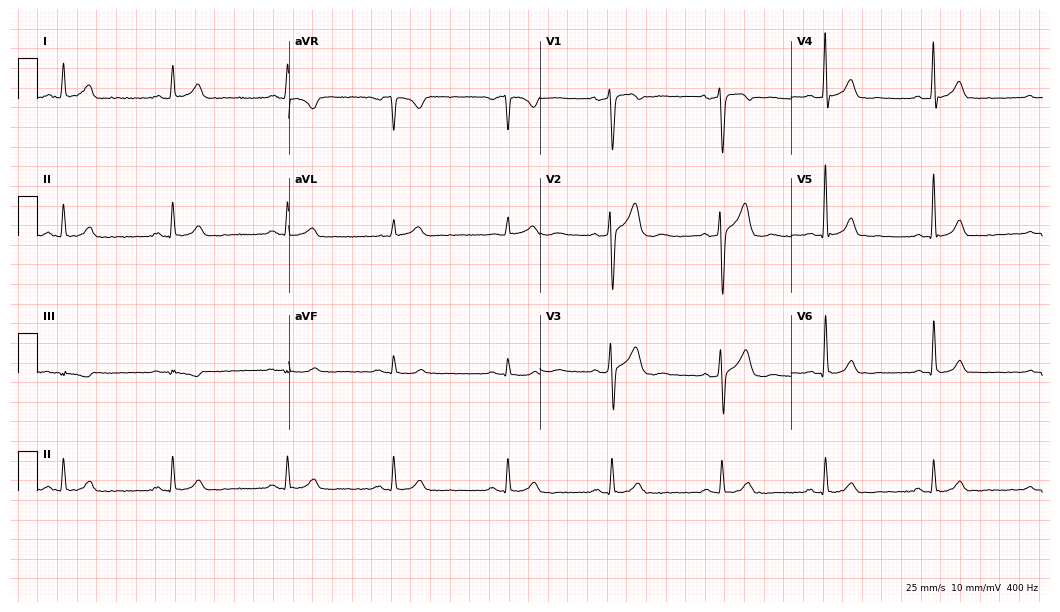
12-lead ECG (10.2-second recording at 400 Hz) from a 47-year-old male. Labelled as a normal ECG.